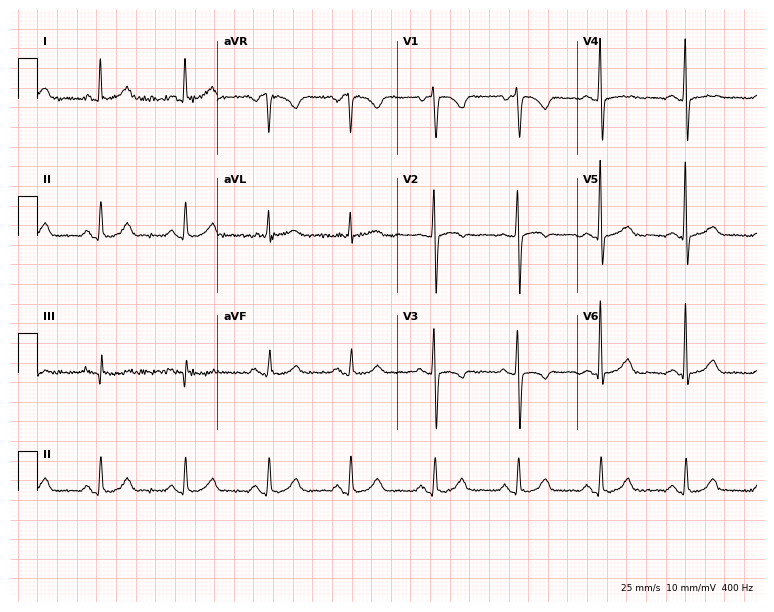
Electrocardiogram, a woman, 62 years old. Overall reading on record: normal ECG.